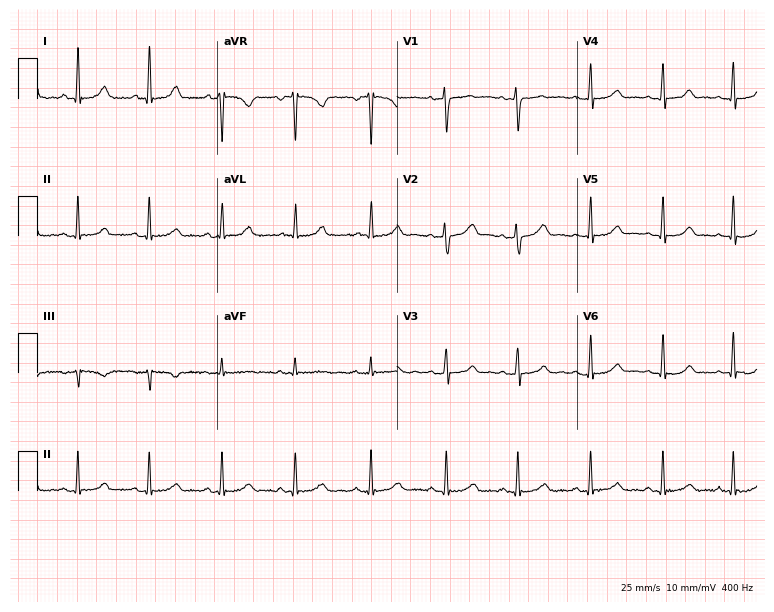
ECG — a 38-year-old female patient. Labelled as a normal ECG.